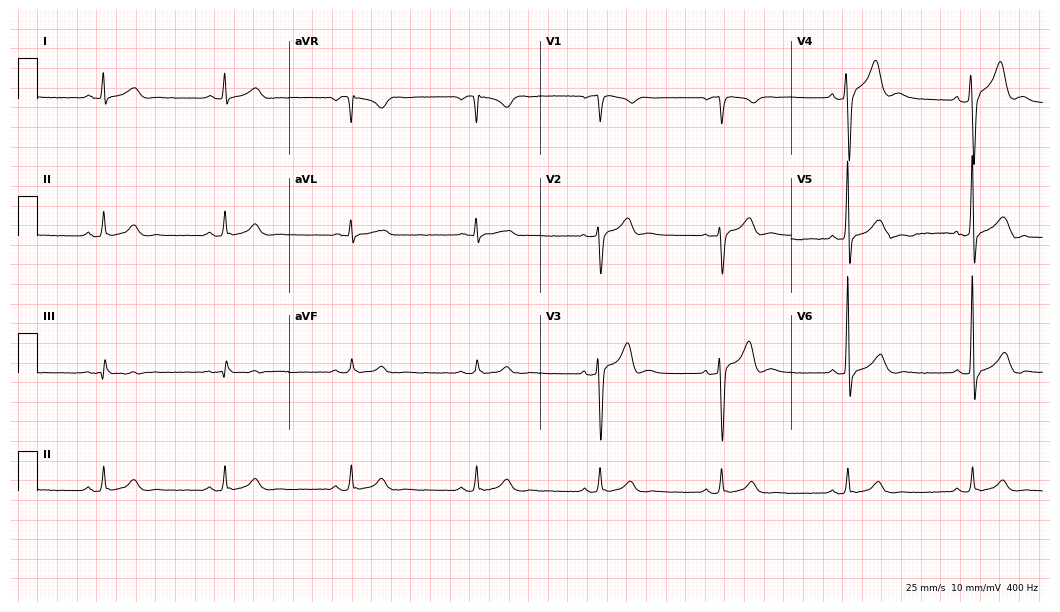
12-lead ECG from a female, 45 years old (10.2-second recording at 400 Hz). Shows sinus bradycardia (a sinus rate of 50 beats per minute or less).